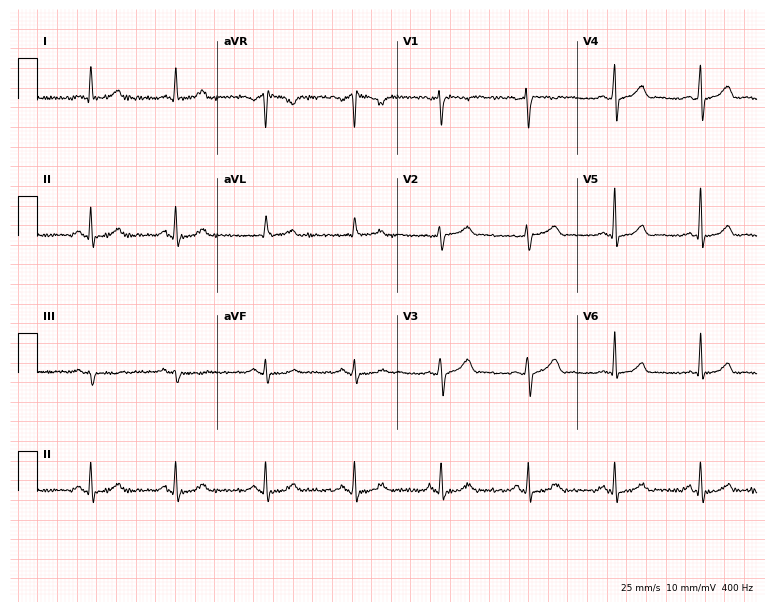
Resting 12-lead electrocardiogram. Patient: a female, 50 years old. None of these six findings is recorded: first-degree AV block, right bundle branch block, left bundle branch block, sinus bradycardia, atrial fibrillation, sinus tachycardia. Findings outside these six are not listed.